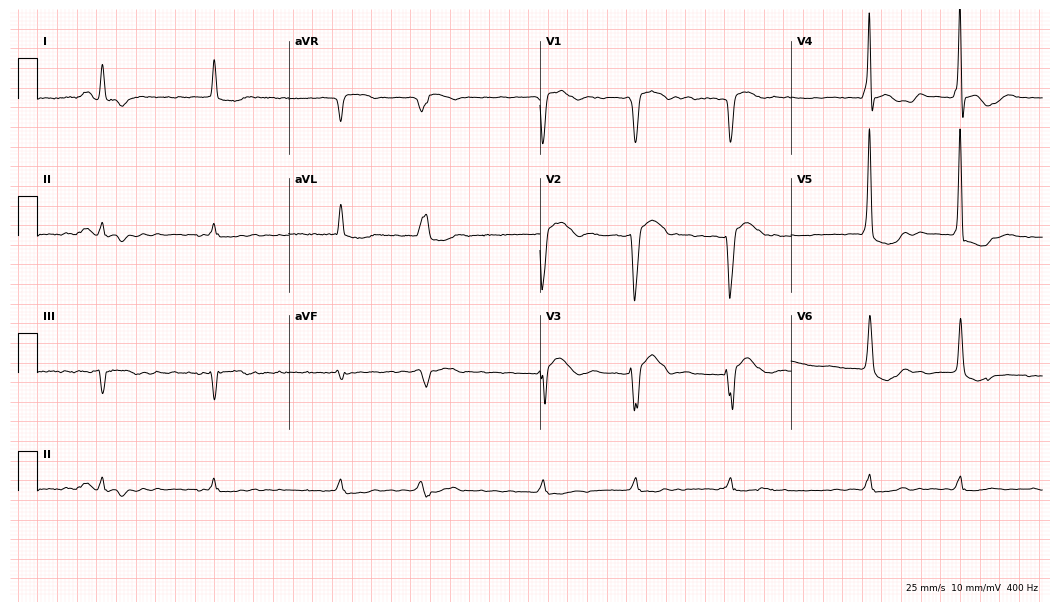
Electrocardiogram, a 74-year-old male. Interpretation includes atrial fibrillation.